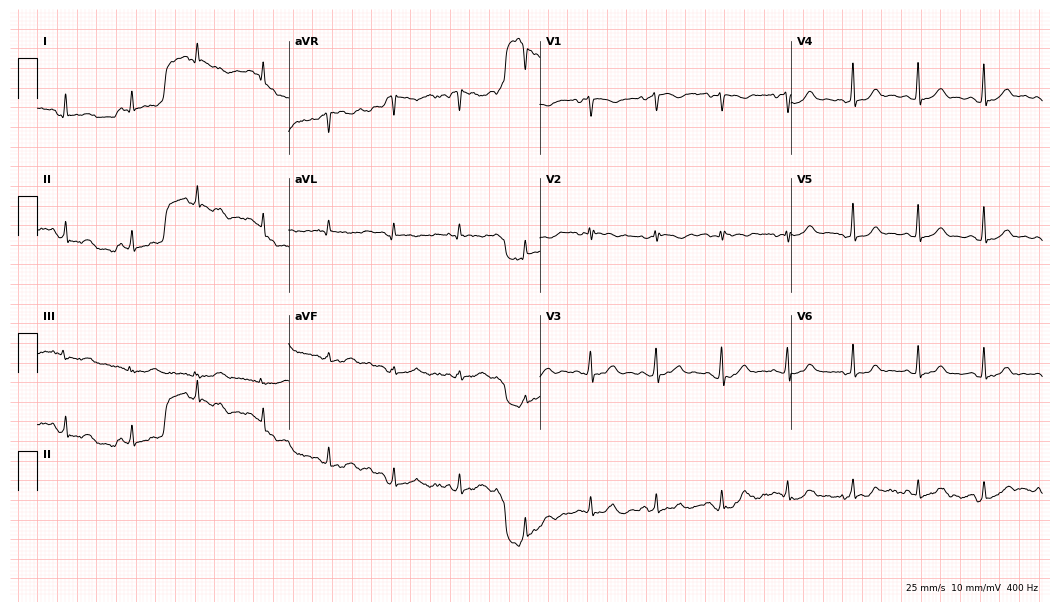
Standard 12-lead ECG recorded from a woman, 64 years old (10.2-second recording at 400 Hz). Read as a normal ECG.